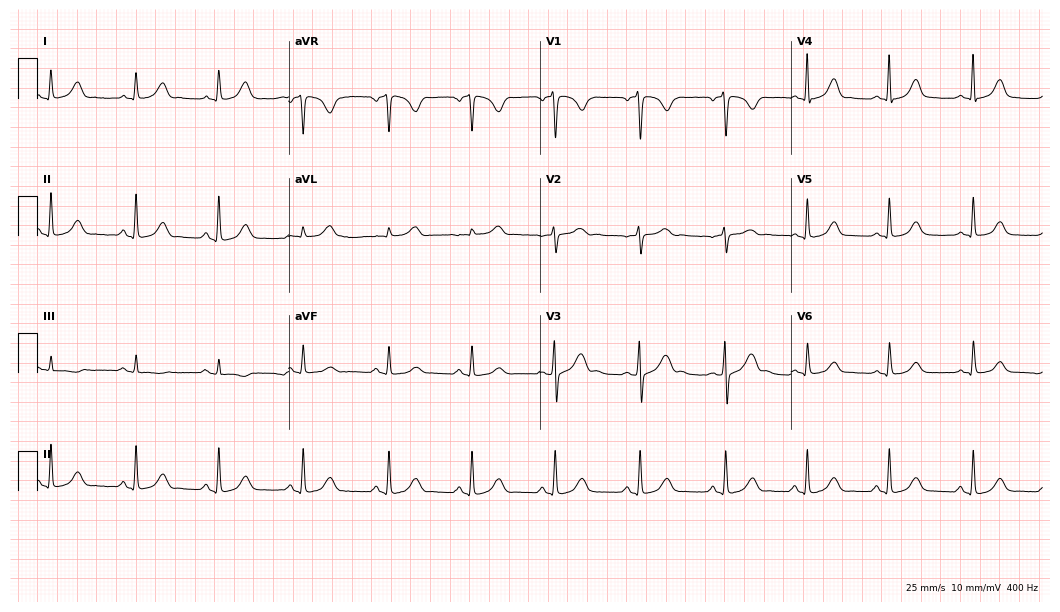
Resting 12-lead electrocardiogram (10.2-second recording at 400 Hz). Patient: a woman, 28 years old. Read as a normal ECG.